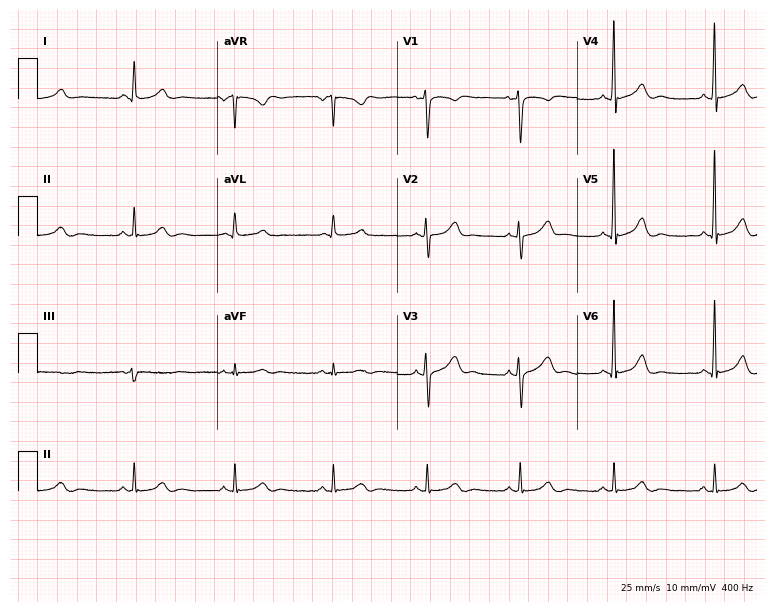
ECG — a female patient, 29 years old. Labelled as a normal ECG.